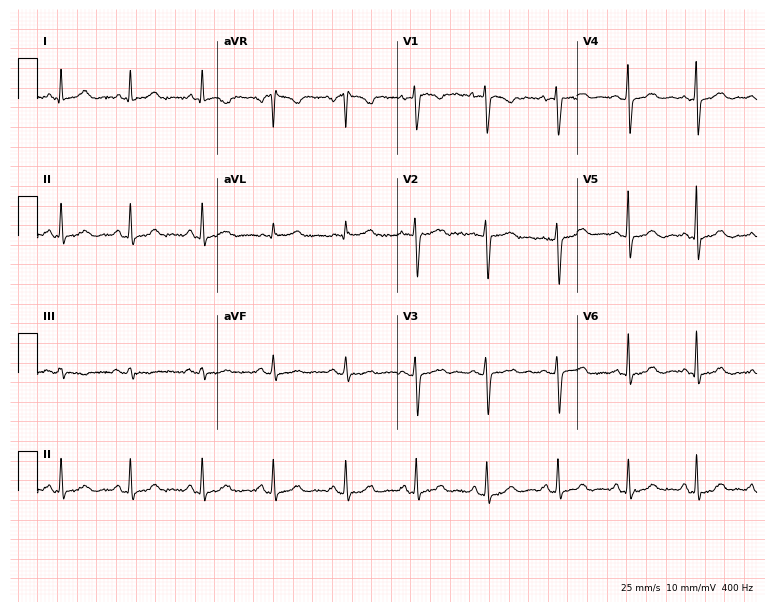
ECG (7.3-second recording at 400 Hz) — a woman, 46 years old. Labelled as a normal ECG.